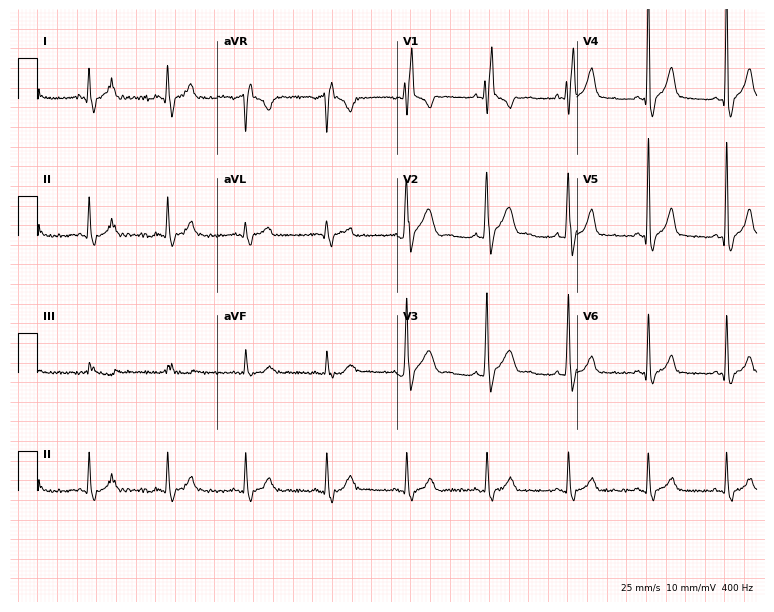
12-lead ECG from a 48-year-old man. Findings include right bundle branch block.